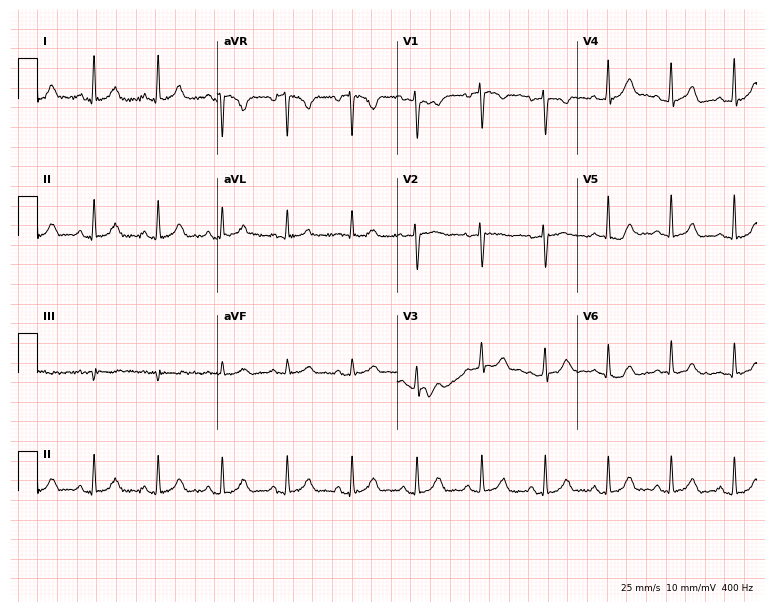
12-lead ECG from a female, 33 years old. Recorded interpretation: within normal limits.